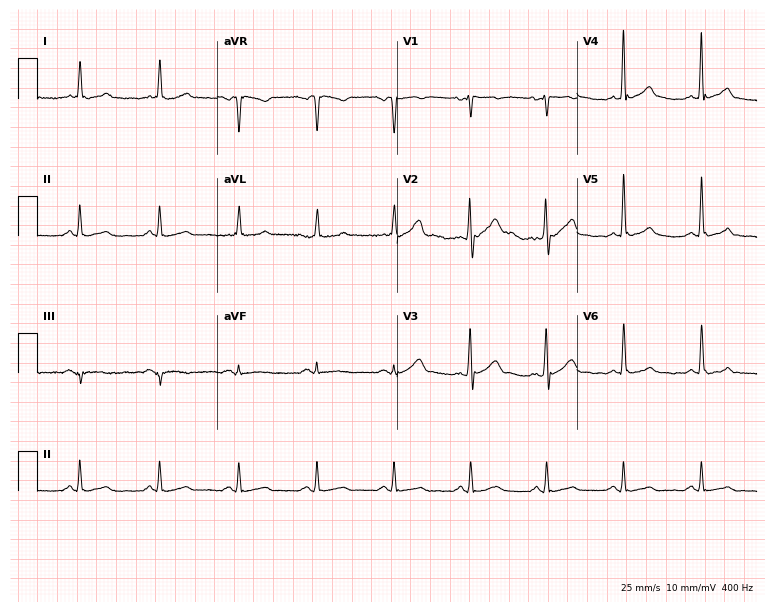
Electrocardiogram (7.3-second recording at 400 Hz), a male patient, 37 years old. Of the six screened findings (first-degree AV block, right bundle branch block (RBBB), left bundle branch block (LBBB), sinus bradycardia, atrial fibrillation (AF), sinus tachycardia), none is recorded. Only these six findings were labelled.